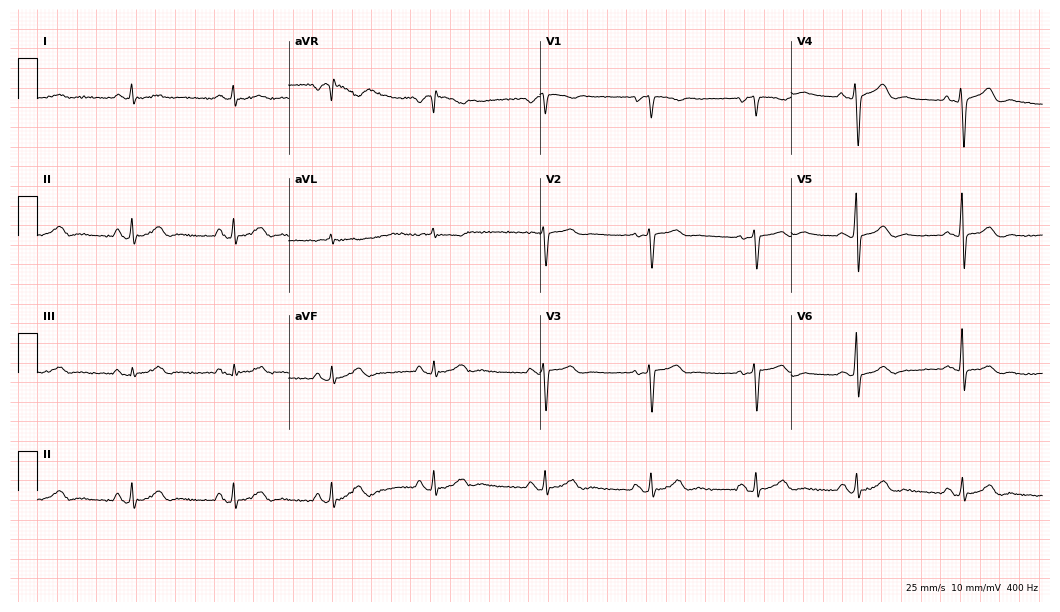
Electrocardiogram, a male patient, 56 years old. Overall reading on record: normal ECG.